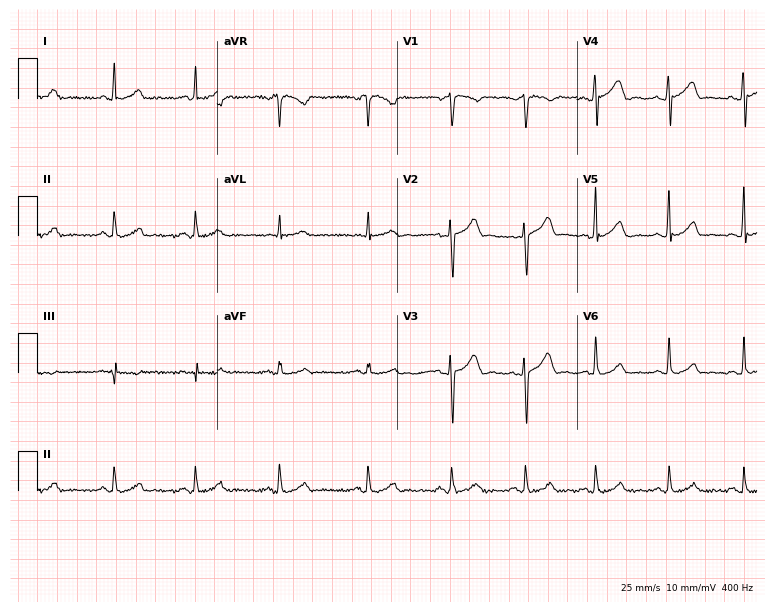
Electrocardiogram, a 26-year-old male patient. Overall reading on record: normal ECG.